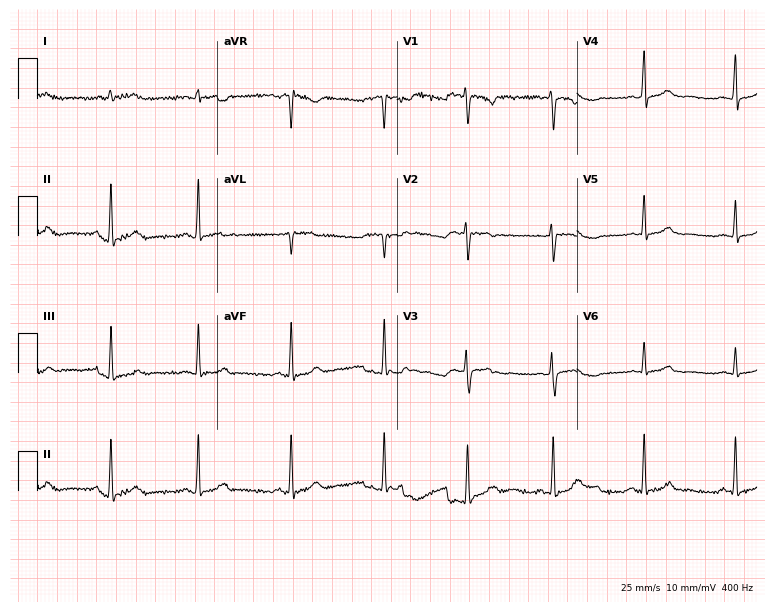
ECG (7.3-second recording at 400 Hz) — a 28-year-old woman. Labelled as a normal ECG.